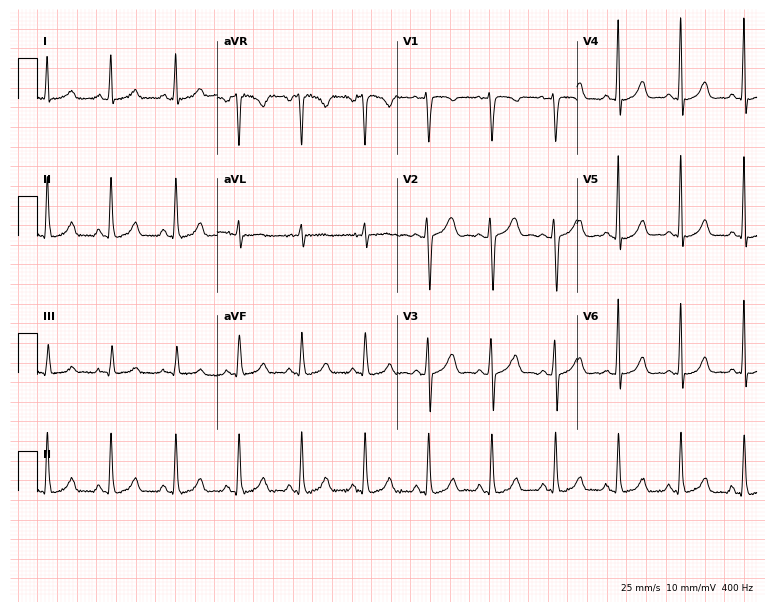
Standard 12-lead ECG recorded from a woman, 28 years old. Read as a normal ECG.